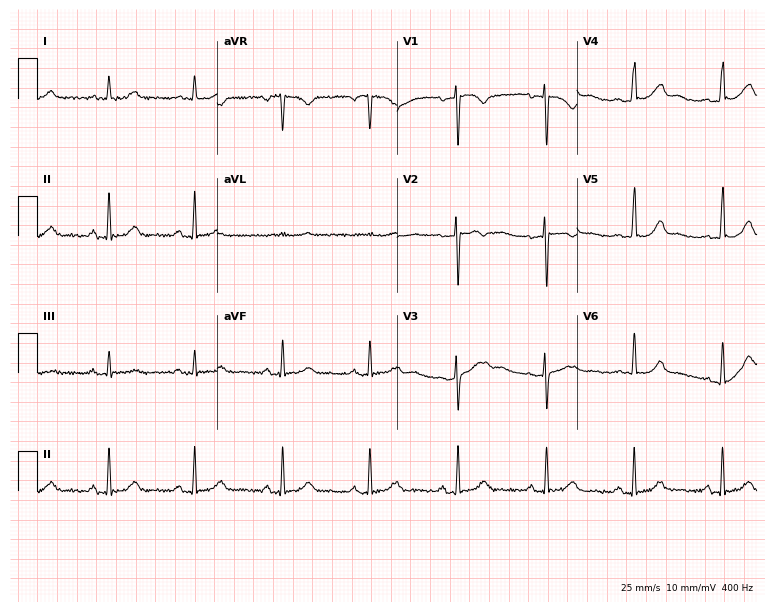
Standard 12-lead ECG recorded from a female patient, 32 years old. None of these six findings is recorded: first-degree AV block, right bundle branch block, left bundle branch block, sinus bradycardia, atrial fibrillation, sinus tachycardia. Other findings, if any, are not listed.